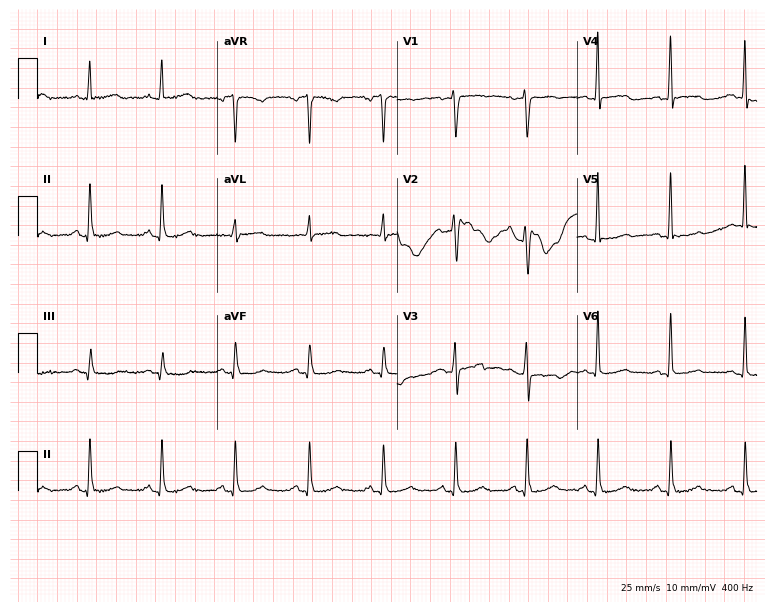
12-lead ECG from a 61-year-old female. No first-degree AV block, right bundle branch block, left bundle branch block, sinus bradycardia, atrial fibrillation or sinus tachycardia recorded for this tracing.